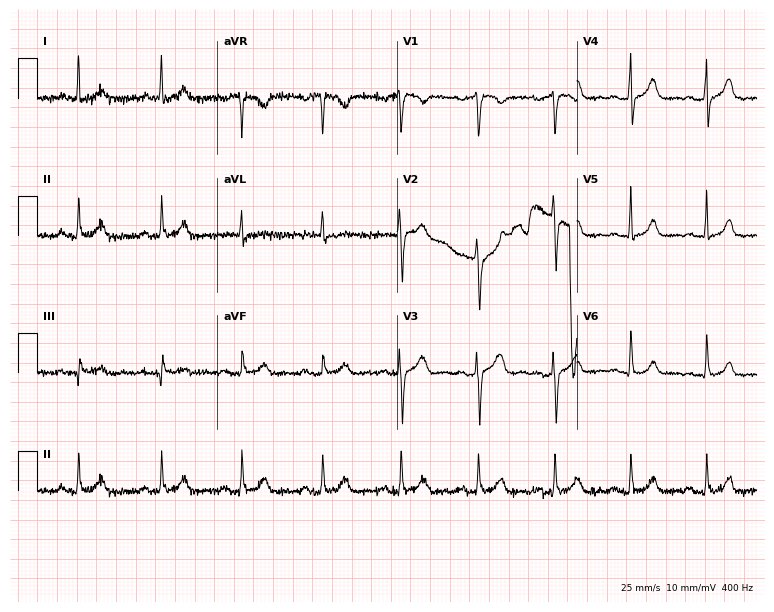
12-lead ECG from a 52-year-old man. Recorded interpretation: within normal limits.